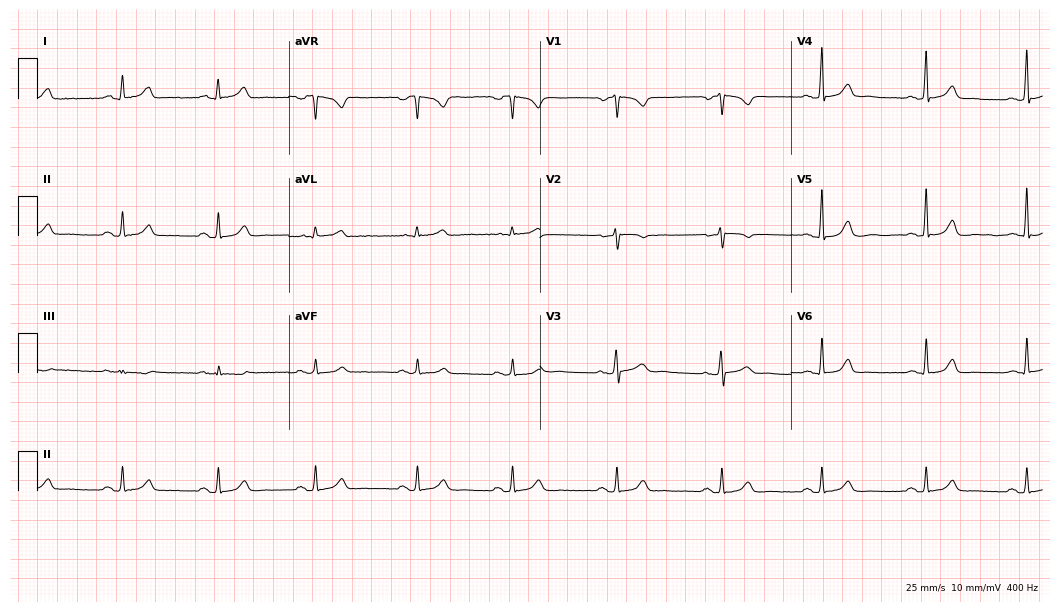
Electrocardiogram (10.2-second recording at 400 Hz), a 49-year-old woman. Overall reading on record: normal ECG.